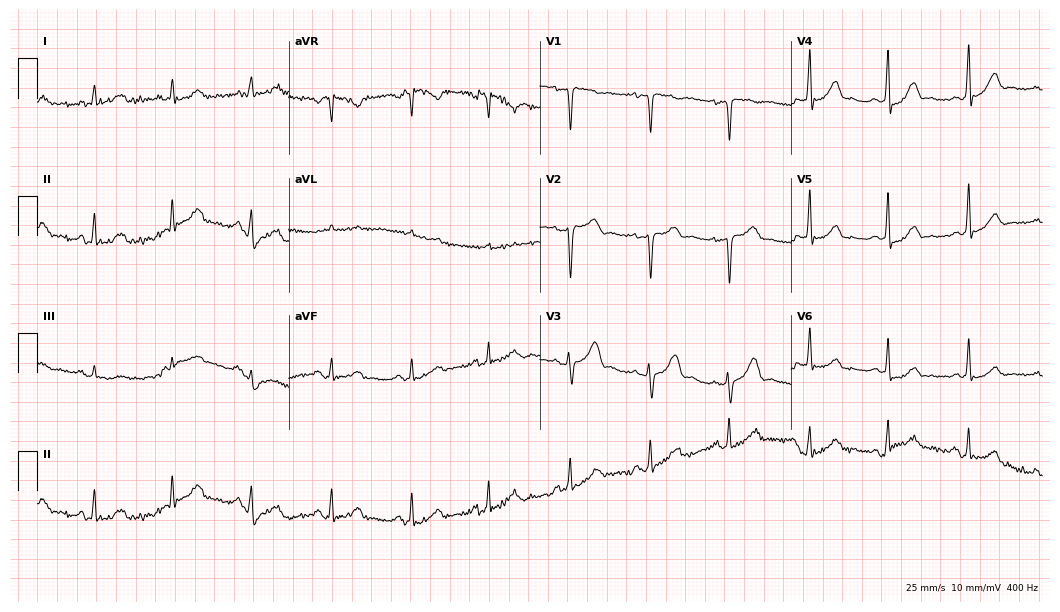
Resting 12-lead electrocardiogram (10.2-second recording at 400 Hz). Patient: a 40-year-old female. None of these six findings is recorded: first-degree AV block, right bundle branch block, left bundle branch block, sinus bradycardia, atrial fibrillation, sinus tachycardia.